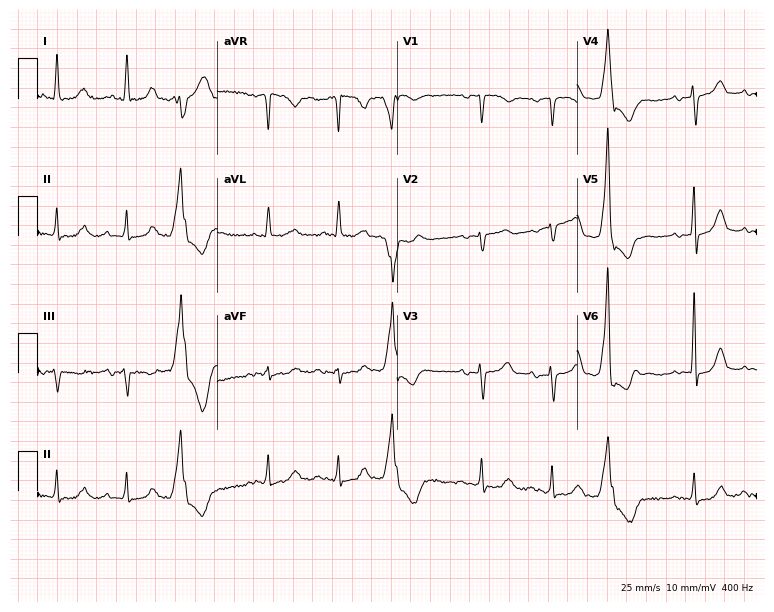
Standard 12-lead ECG recorded from an 81-year-old woman. The tracing shows first-degree AV block.